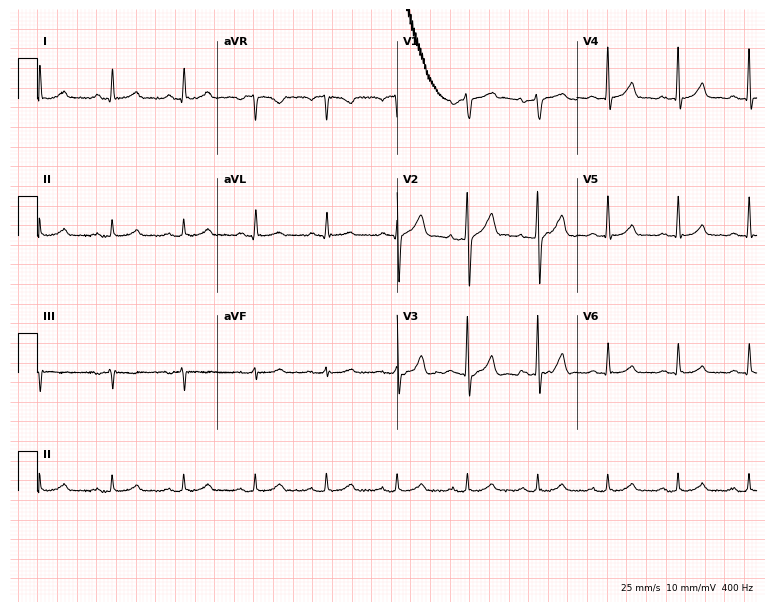
ECG — a male patient, 55 years old. Screened for six findings — first-degree AV block, right bundle branch block (RBBB), left bundle branch block (LBBB), sinus bradycardia, atrial fibrillation (AF), sinus tachycardia — none is recorded. Only these six findings were labelled.